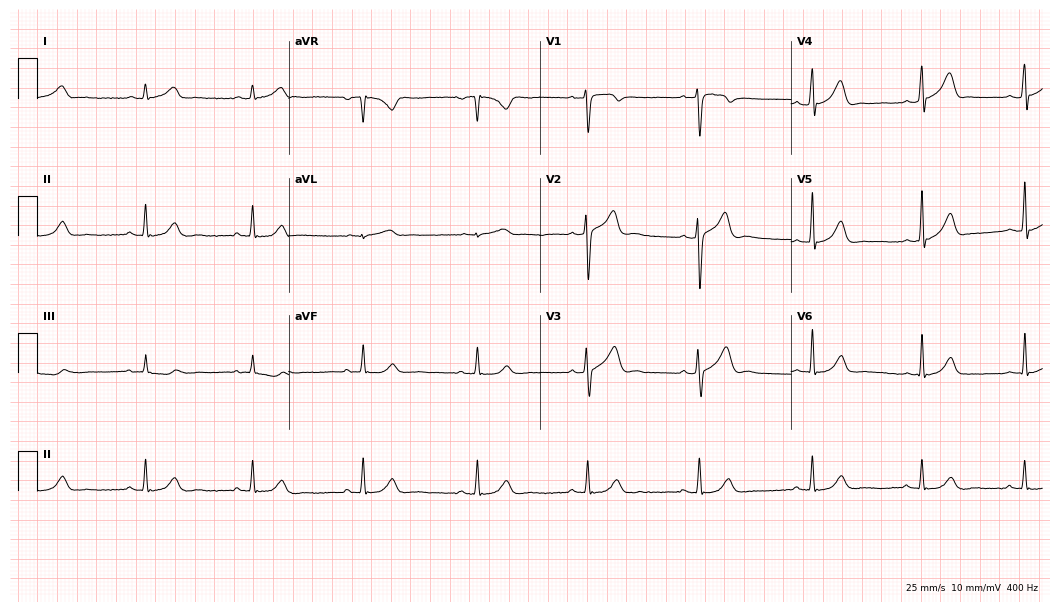
12-lead ECG from a 40-year-old male. Recorded interpretation: within normal limits.